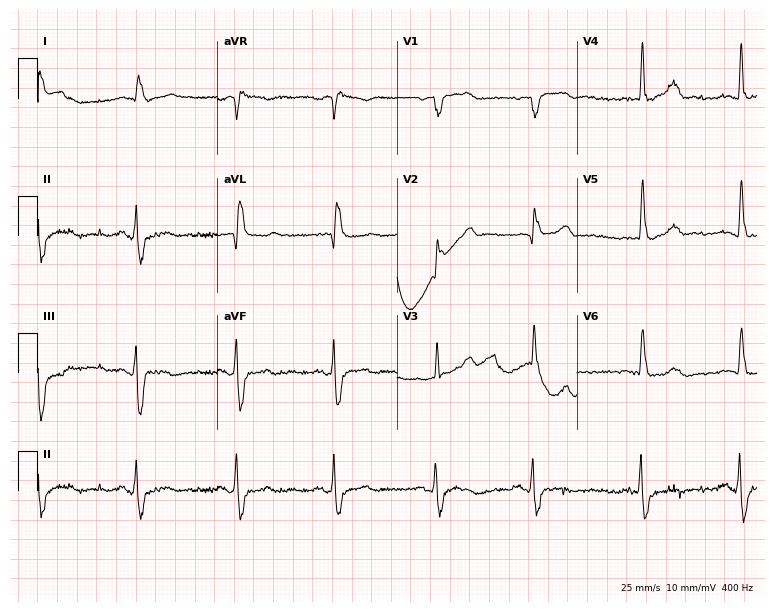
12-lead ECG (7.3-second recording at 400 Hz) from a man, 83 years old. Findings include right bundle branch block.